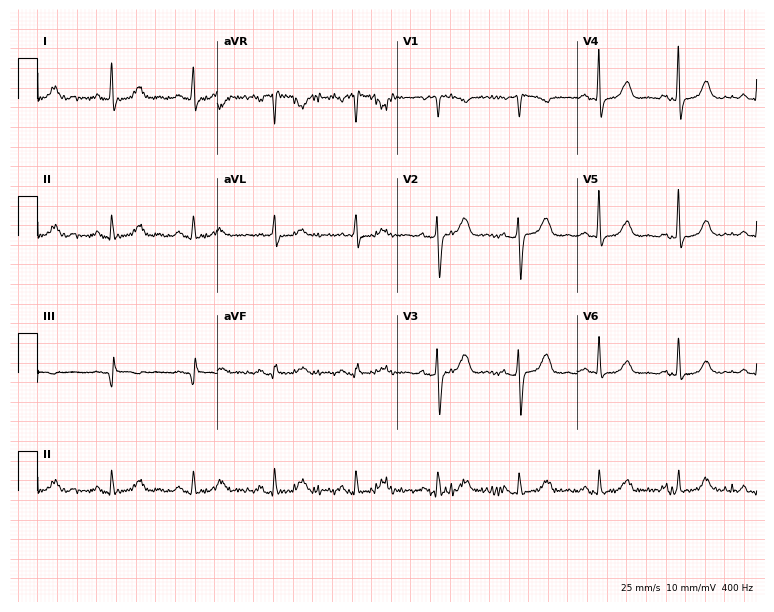
Resting 12-lead electrocardiogram. Patient: a female, 55 years old. Read as a normal ECG.